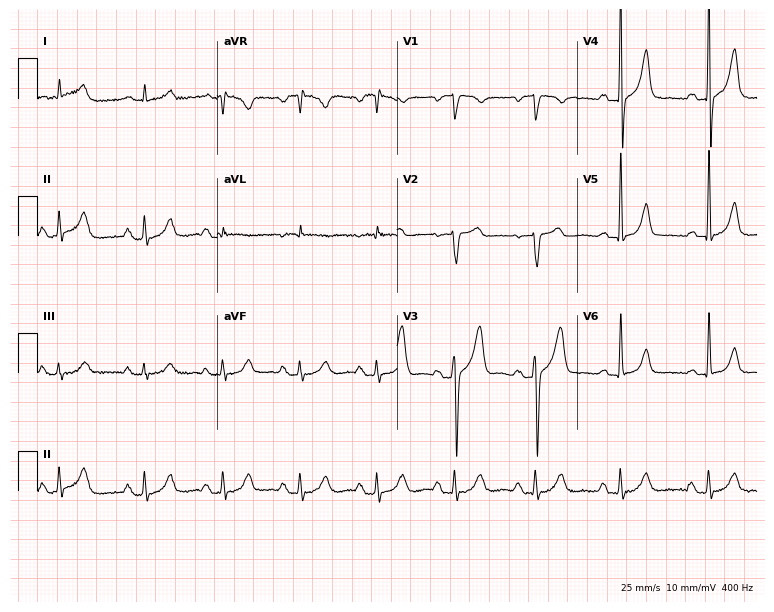
12-lead ECG from a male patient, 62 years old. No first-degree AV block, right bundle branch block, left bundle branch block, sinus bradycardia, atrial fibrillation or sinus tachycardia recorded for this tracing.